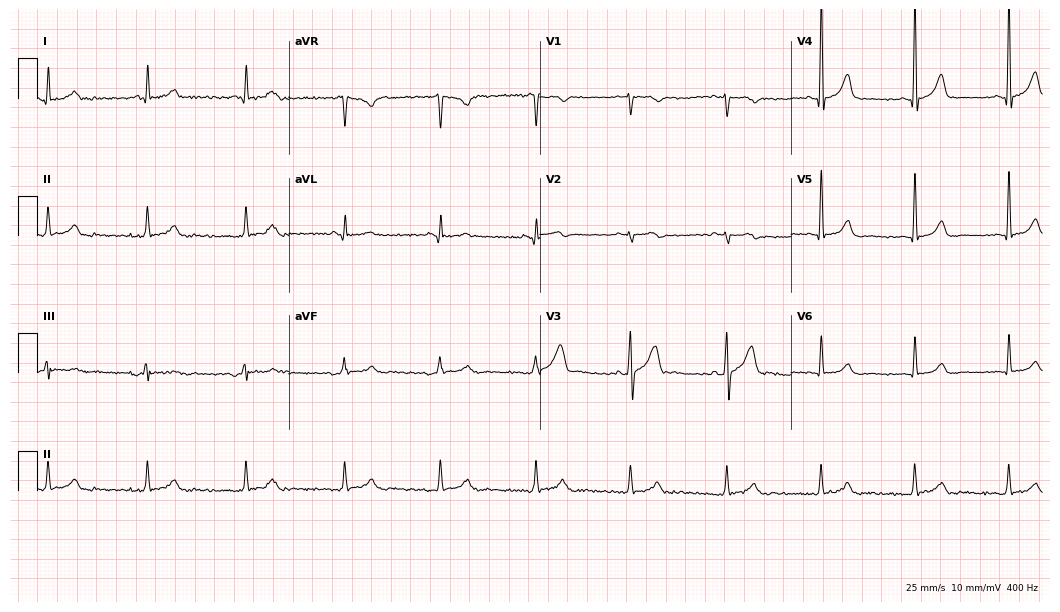
12-lead ECG from a male, 50 years old. Recorded interpretation: within normal limits.